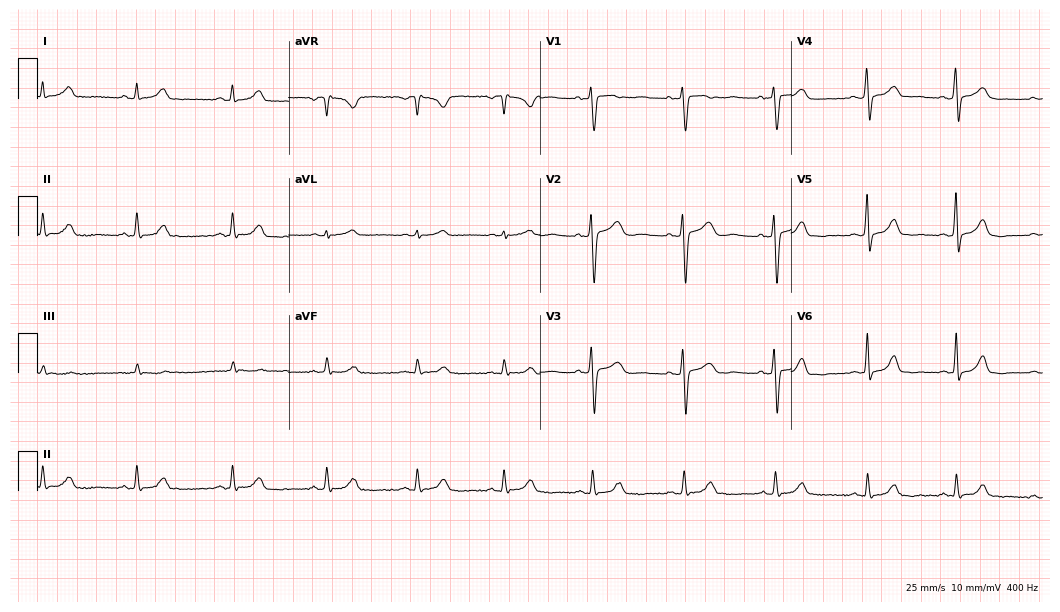
Electrocardiogram (10.2-second recording at 400 Hz), a 42-year-old female patient. Overall reading on record: normal ECG.